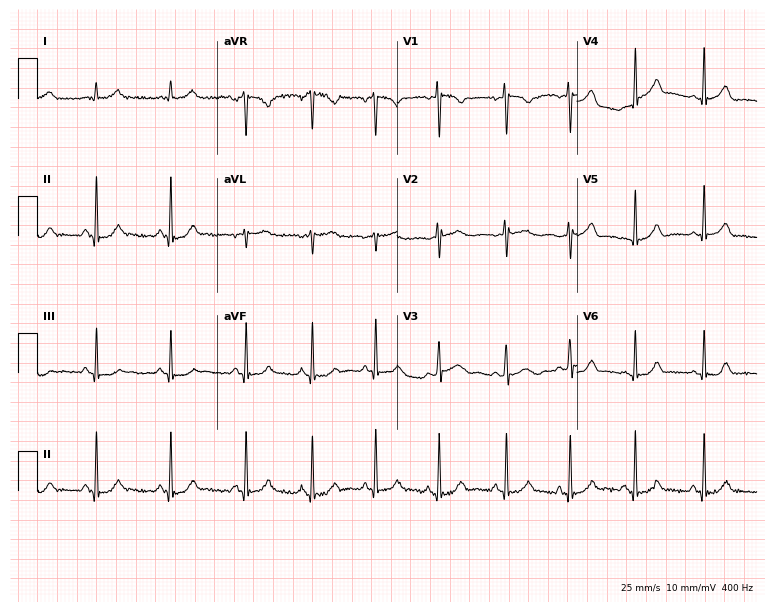
12-lead ECG from an 18-year-old female (7.3-second recording at 400 Hz). Recorded interpretation: within normal limits.